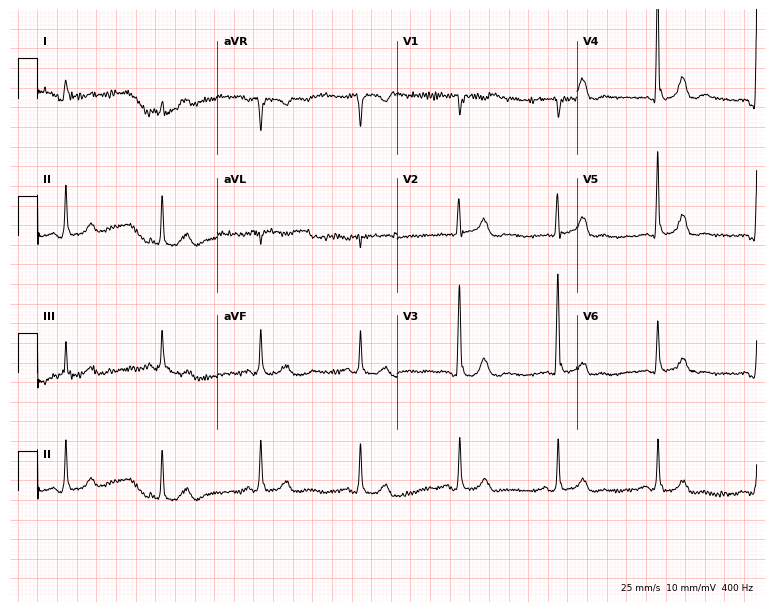
12-lead ECG from a female patient, 81 years old. No first-degree AV block, right bundle branch block, left bundle branch block, sinus bradycardia, atrial fibrillation or sinus tachycardia recorded for this tracing.